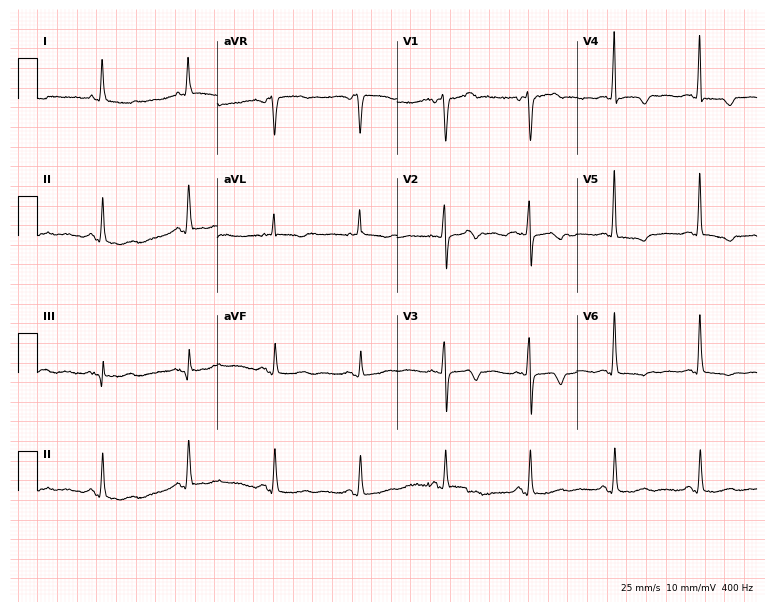
12-lead ECG from a 59-year-old female patient (7.3-second recording at 400 Hz). No first-degree AV block, right bundle branch block (RBBB), left bundle branch block (LBBB), sinus bradycardia, atrial fibrillation (AF) or sinus tachycardia recorded for this tracing. Findings outside these six are not listed.